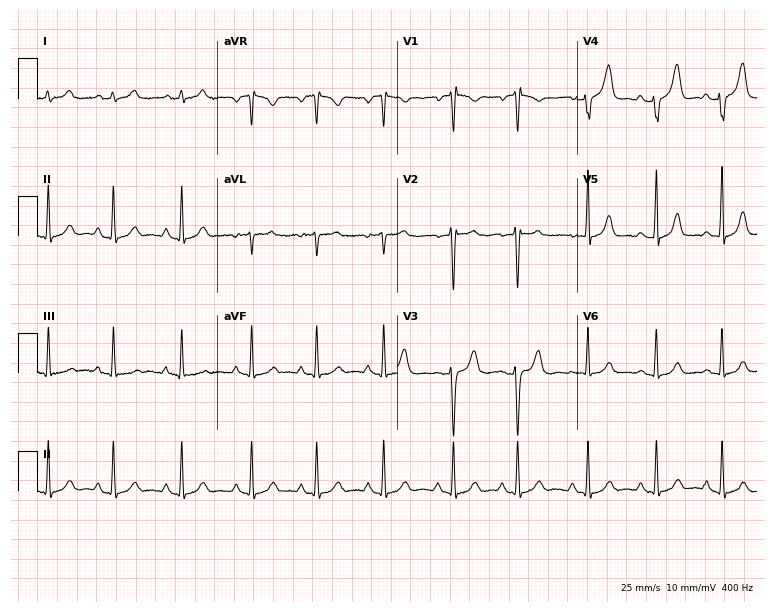
12-lead ECG from a 22-year-old female. Labelled as a normal ECG.